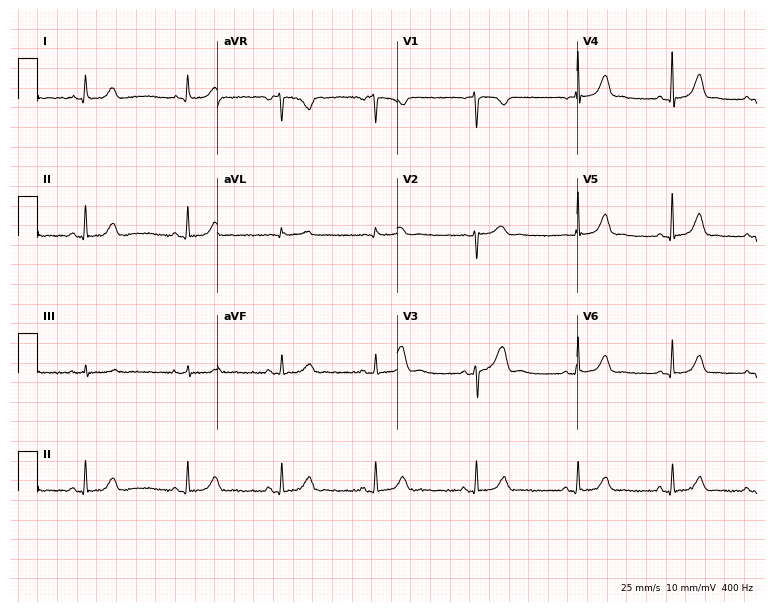
12-lead ECG from a 35-year-old female. Labelled as a normal ECG.